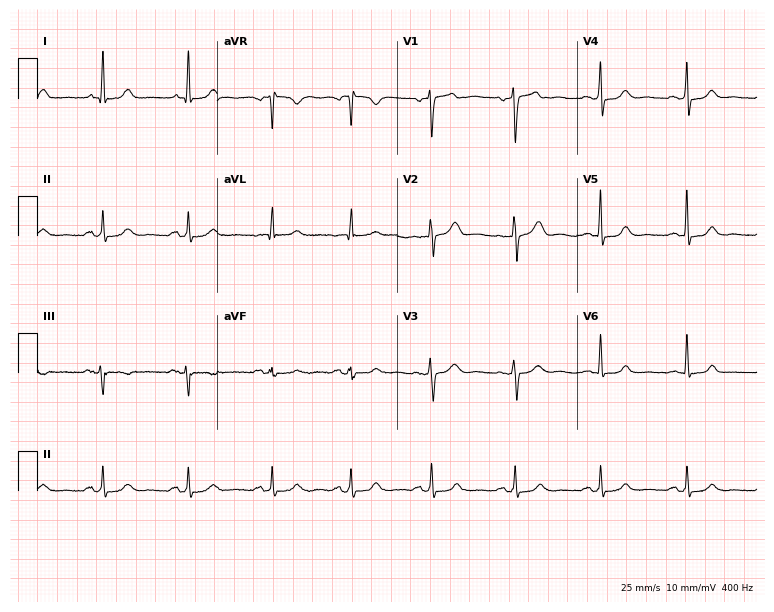
Standard 12-lead ECG recorded from a 53-year-old female patient (7.3-second recording at 400 Hz). Read as a normal ECG.